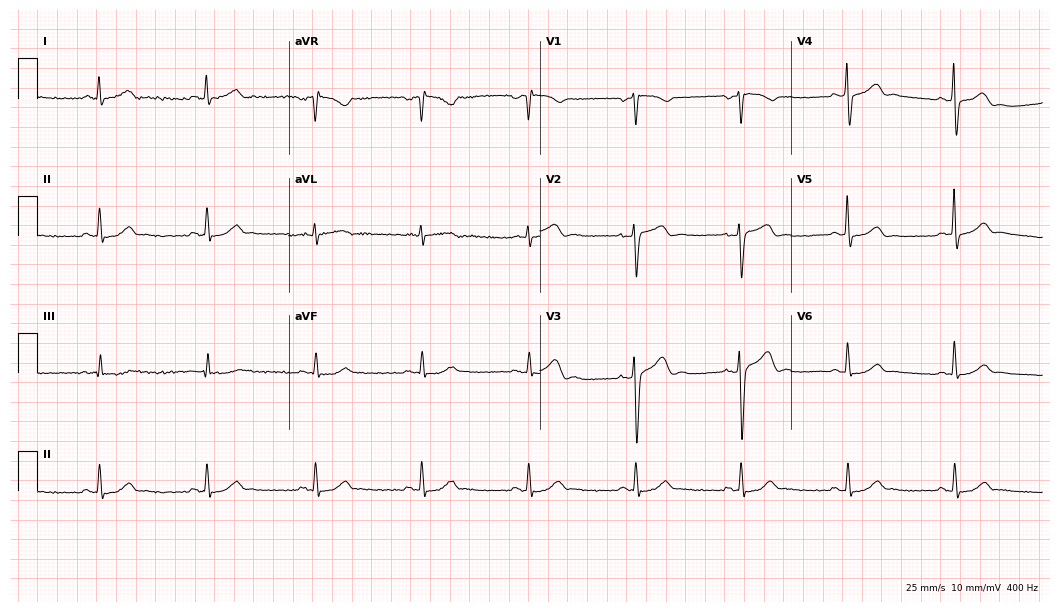
Resting 12-lead electrocardiogram. Patient: a 58-year-old male. Read as a normal ECG.